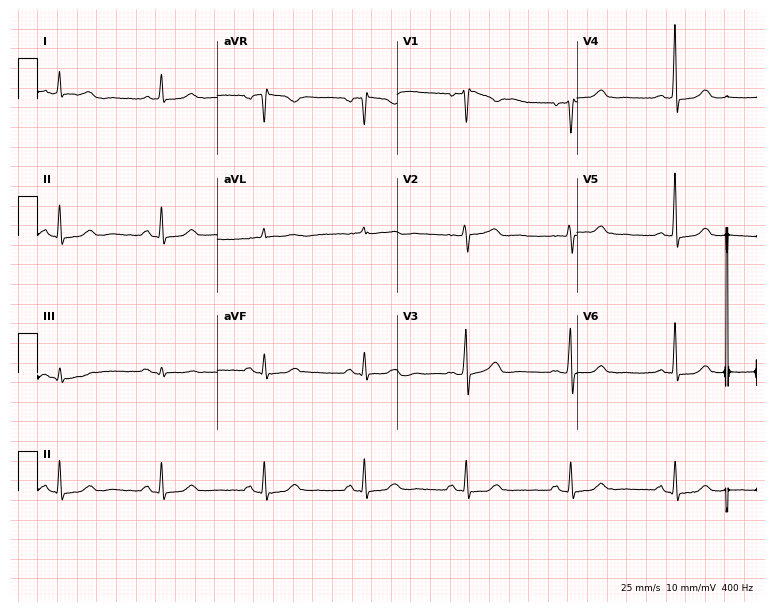
12-lead ECG from a female patient, 66 years old (7.3-second recording at 400 Hz). No first-degree AV block, right bundle branch block, left bundle branch block, sinus bradycardia, atrial fibrillation or sinus tachycardia recorded for this tracing. Only these six findings were labelled.